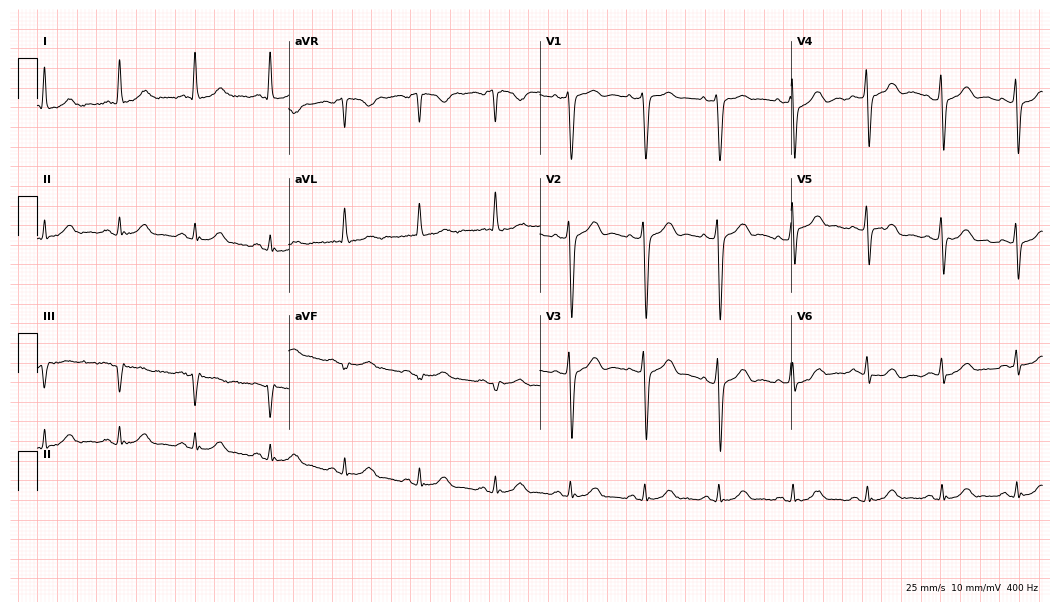
Resting 12-lead electrocardiogram. Patient: a 69-year-old male. Read as a normal ECG.